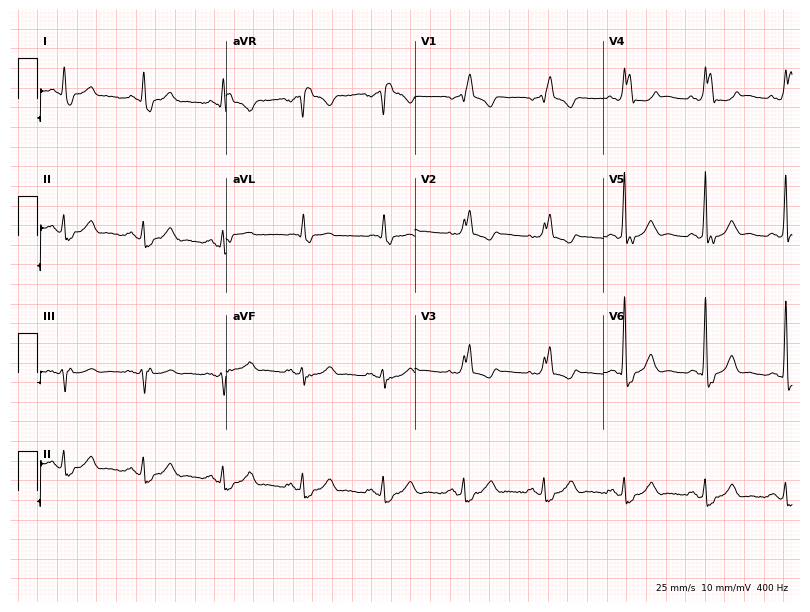
12-lead ECG (7.7-second recording at 400 Hz) from a male, 76 years old. Findings include right bundle branch block (RBBB).